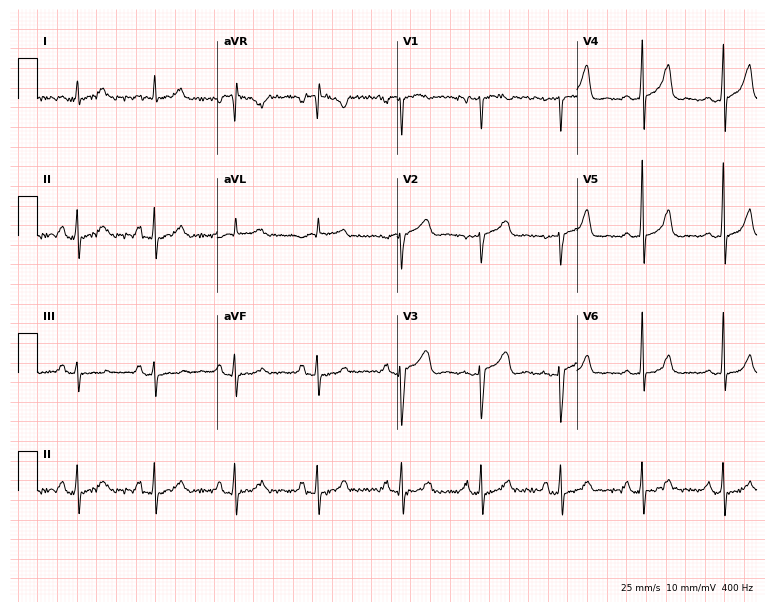
Resting 12-lead electrocardiogram (7.3-second recording at 400 Hz). Patient: a 45-year-old female. Read as a normal ECG.